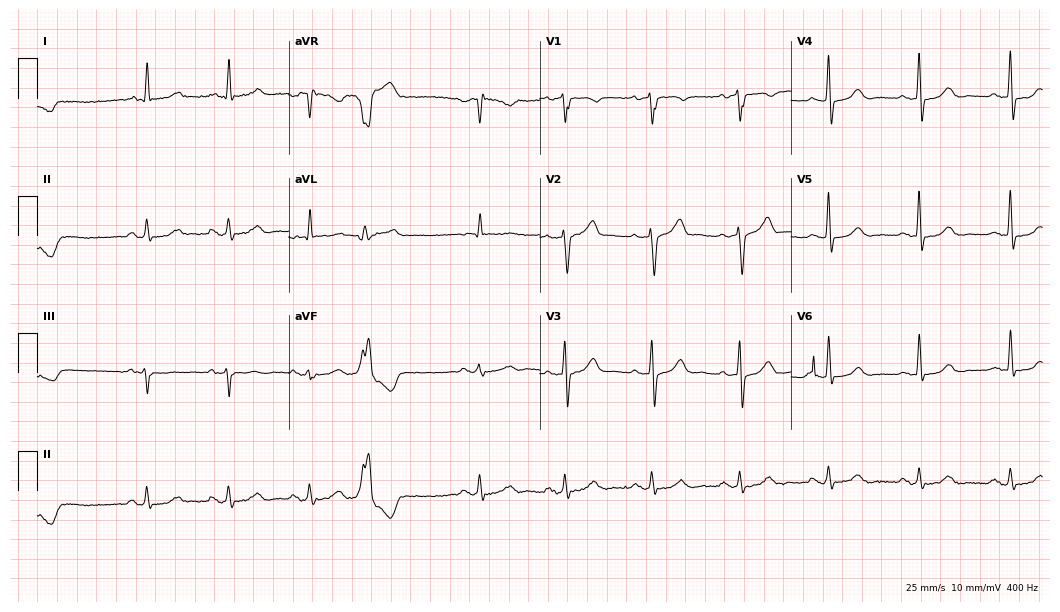
12-lead ECG from a man, 84 years old. Screened for six findings — first-degree AV block, right bundle branch block, left bundle branch block, sinus bradycardia, atrial fibrillation, sinus tachycardia — none is recorded.